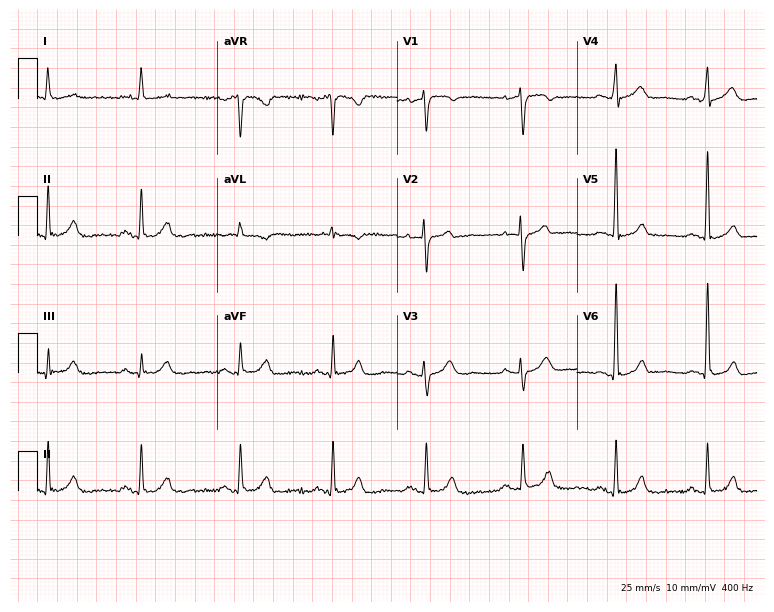
12-lead ECG from a female, 68 years old (7.3-second recording at 400 Hz). No first-degree AV block, right bundle branch block, left bundle branch block, sinus bradycardia, atrial fibrillation or sinus tachycardia recorded for this tracing.